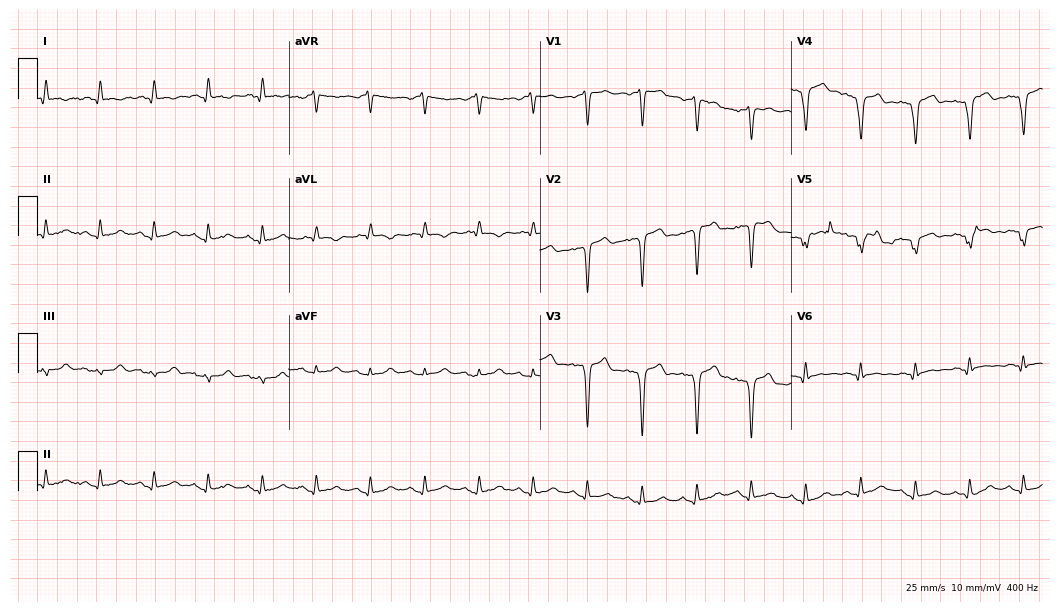
Resting 12-lead electrocardiogram (10.2-second recording at 400 Hz). Patient: a 77-year-old male. The tracing shows sinus tachycardia (a sinus rate of 100 beats per minute or more).